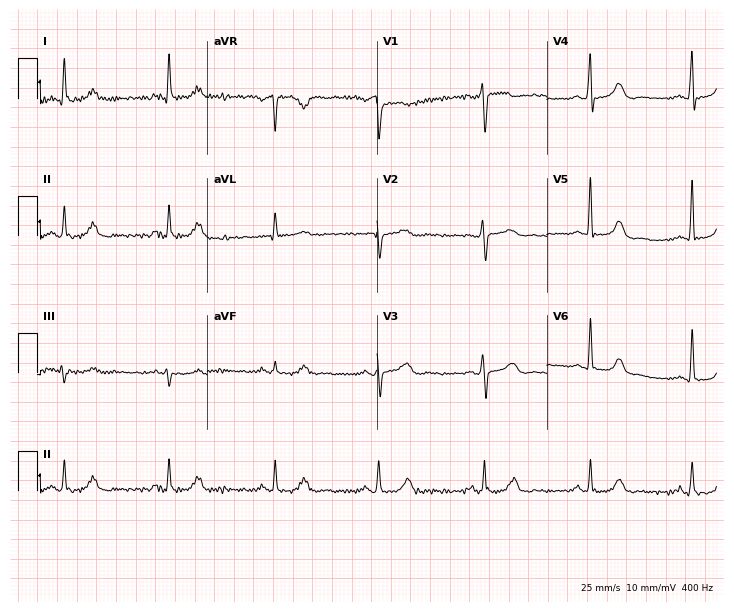
12-lead ECG from a female, 60 years old. Screened for six findings — first-degree AV block, right bundle branch block (RBBB), left bundle branch block (LBBB), sinus bradycardia, atrial fibrillation (AF), sinus tachycardia — none is recorded. Only these six findings were labelled.